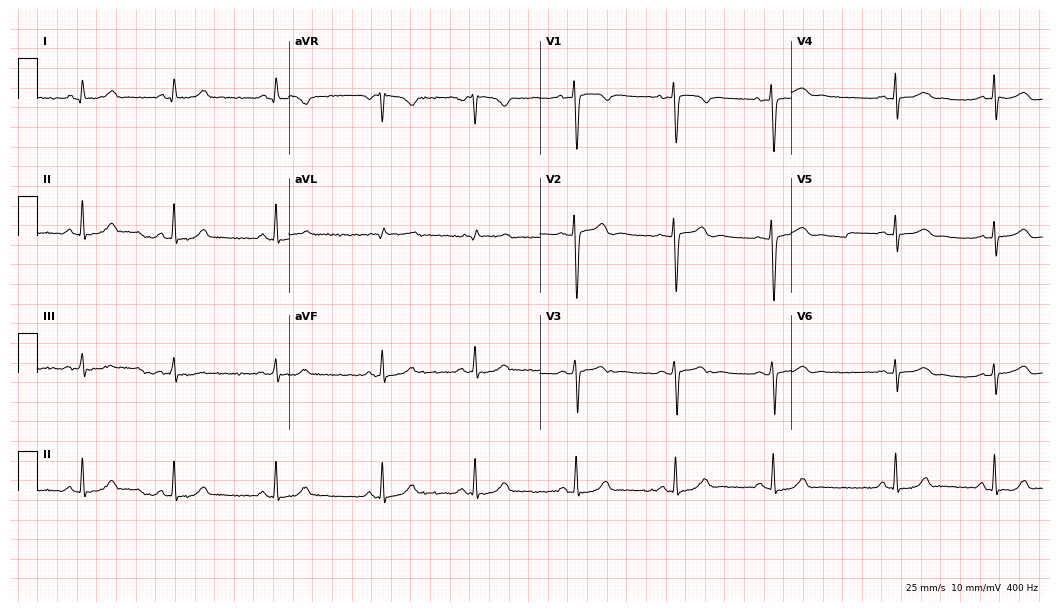
Electrocardiogram (10.2-second recording at 400 Hz), a 29-year-old female patient. Overall reading on record: normal ECG.